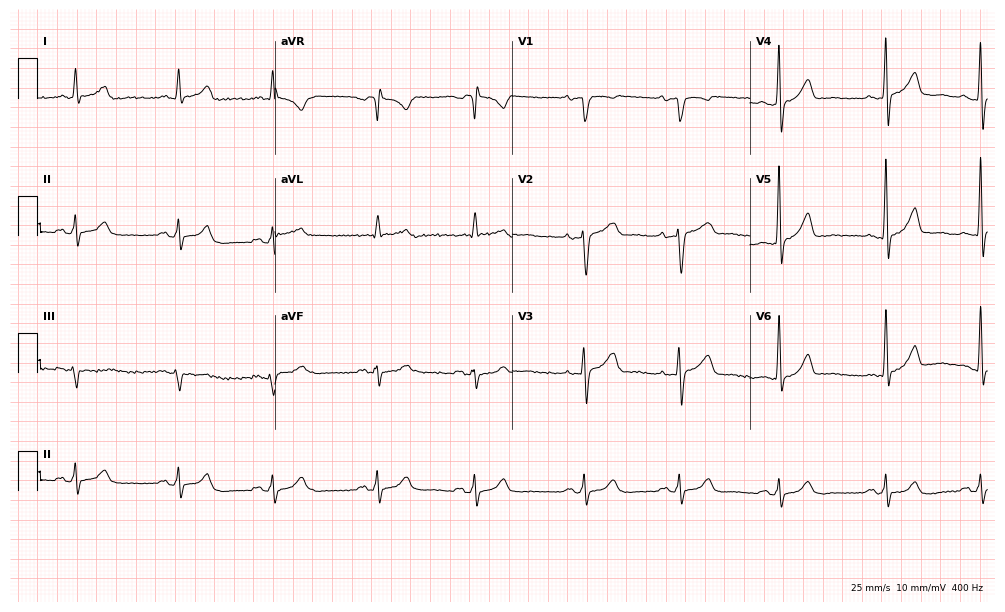
ECG (9.7-second recording at 400 Hz) — a man, 70 years old. Labelled as a normal ECG.